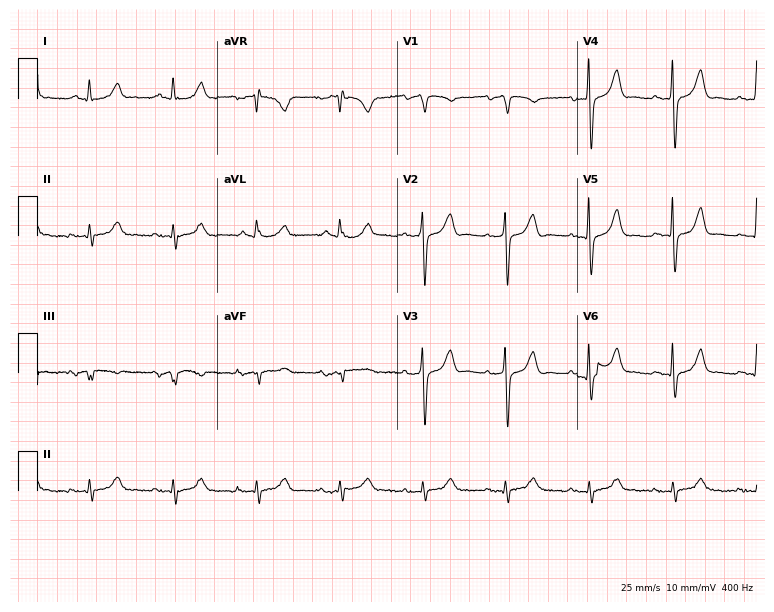
12-lead ECG (7.3-second recording at 400 Hz) from a male, 79 years old. Screened for six findings — first-degree AV block, right bundle branch block, left bundle branch block, sinus bradycardia, atrial fibrillation, sinus tachycardia — none is recorded.